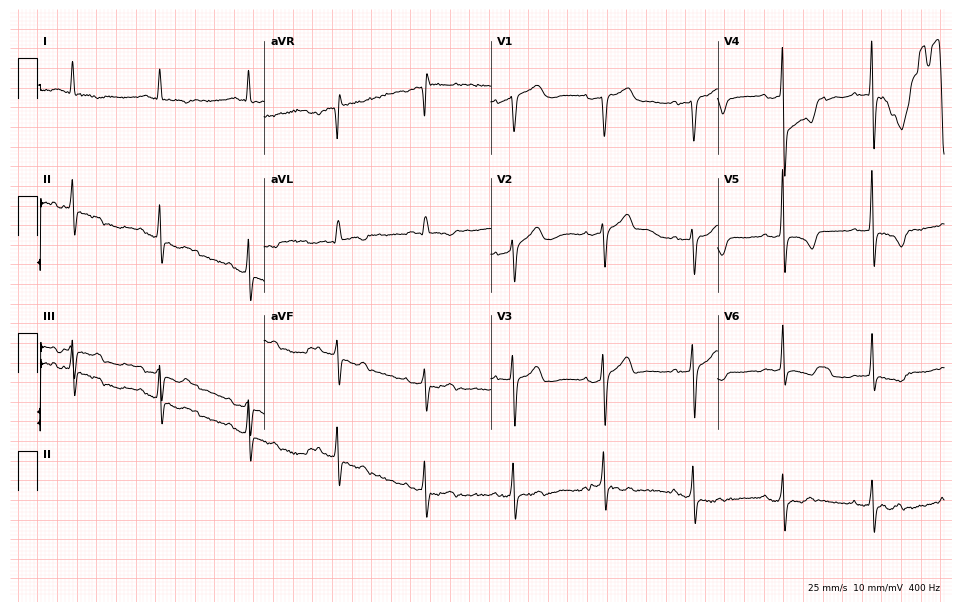
Resting 12-lead electrocardiogram (9.2-second recording at 400 Hz). Patient: a 67-year-old woman. None of these six findings is recorded: first-degree AV block, right bundle branch block (RBBB), left bundle branch block (LBBB), sinus bradycardia, atrial fibrillation (AF), sinus tachycardia. Only these six findings were labelled.